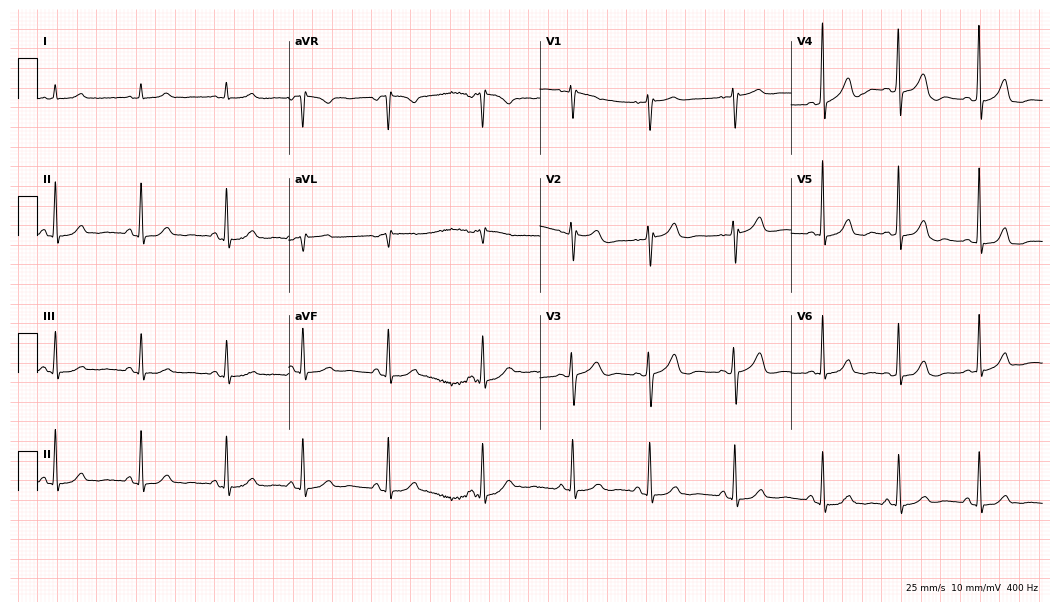
12-lead ECG from a female, 54 years old. Labelled as a normal ECG.